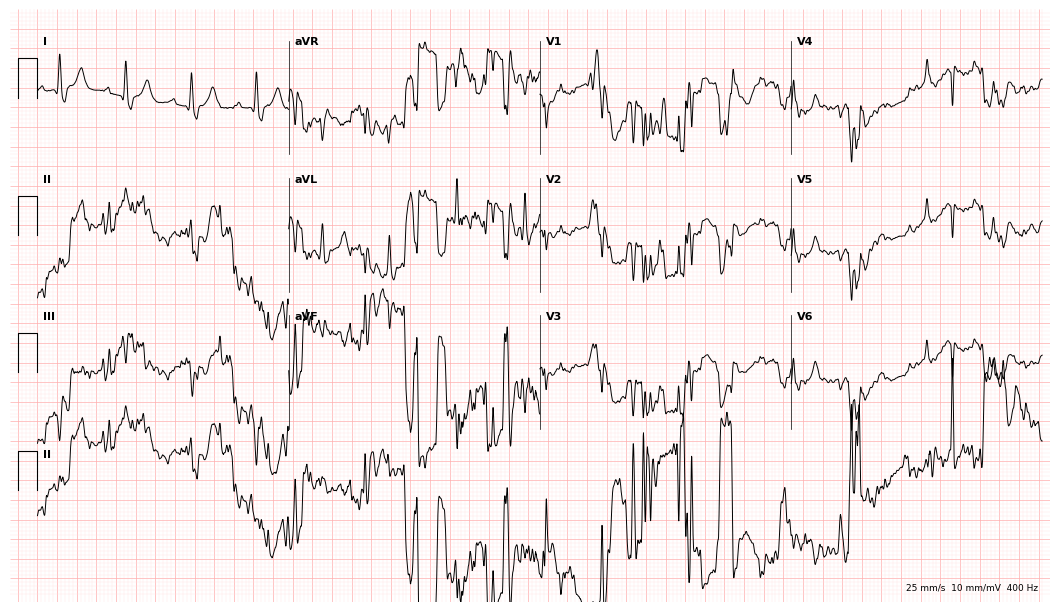
12-lead ECG (10.2-second recording at 400 Hz) from a woman, 75 years old. Findings include right bundle branch block (RBBB).